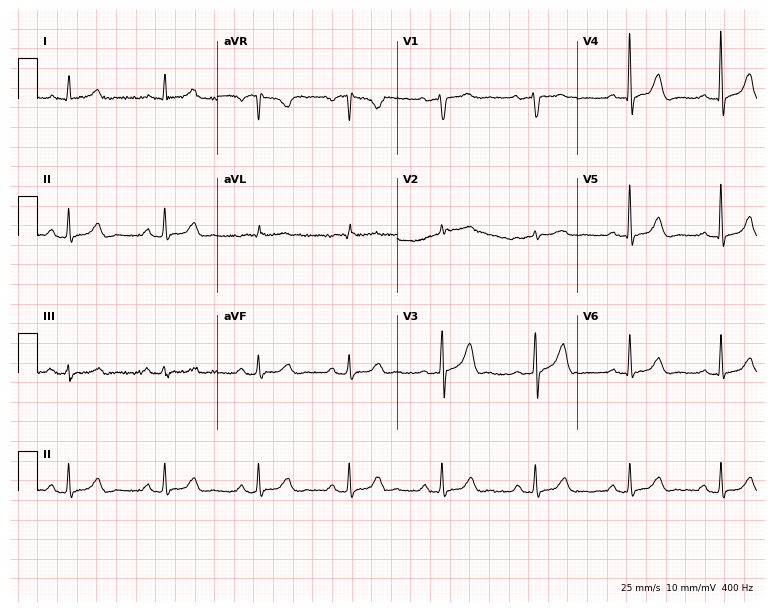
ECG (7.3-second recording at 400 Hz) — a 64-year-old male patient. Labelled as a normal ECG.